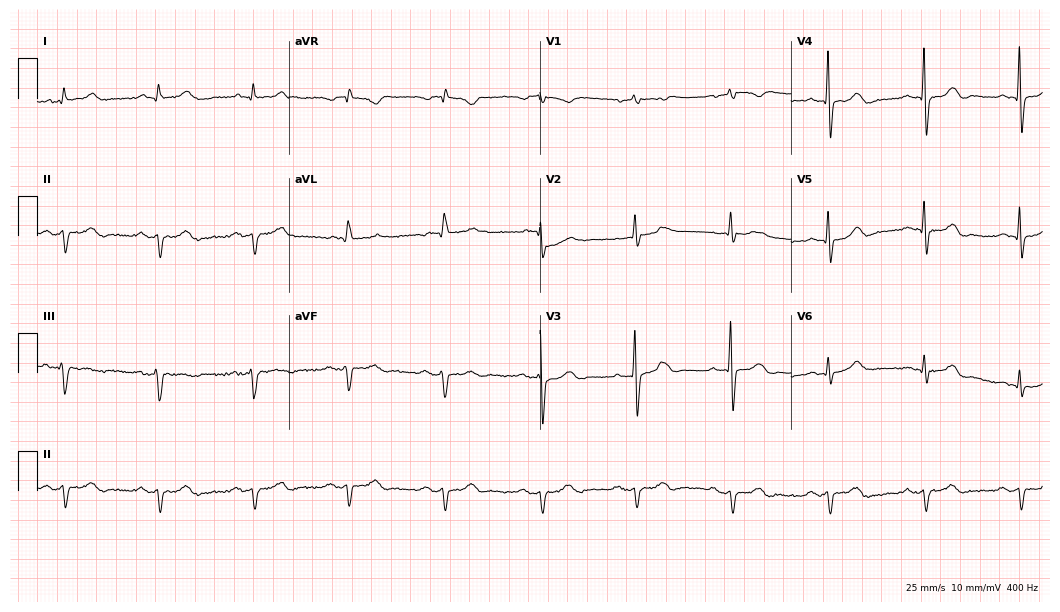
Resting 12-lead electrocardiogram. Patient: a 74-year-old man. Read as a normal ECG.